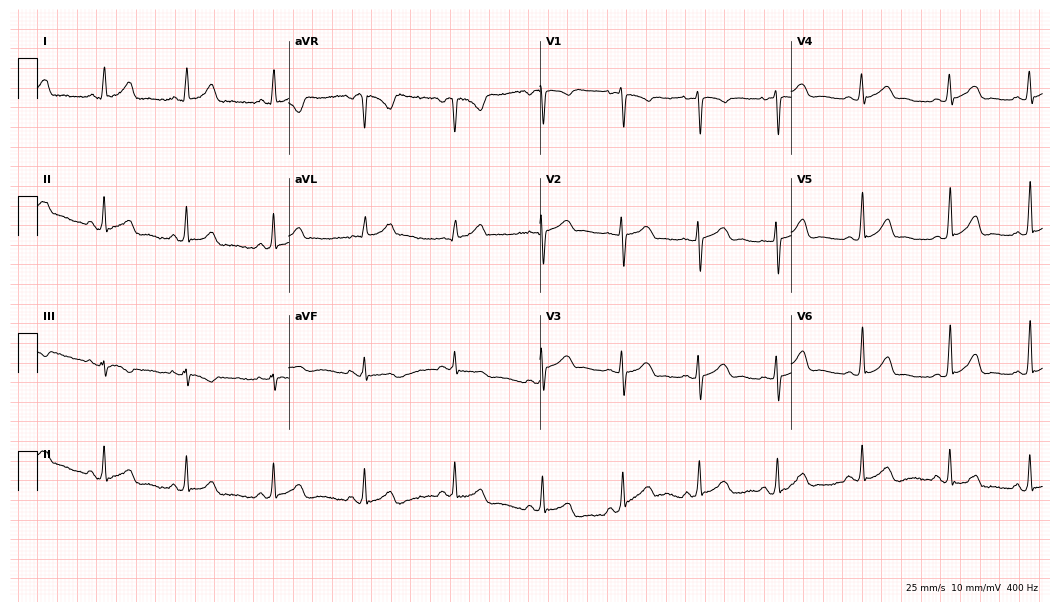
ECG — a female, 38 years old. Labelled as a normal ECG.